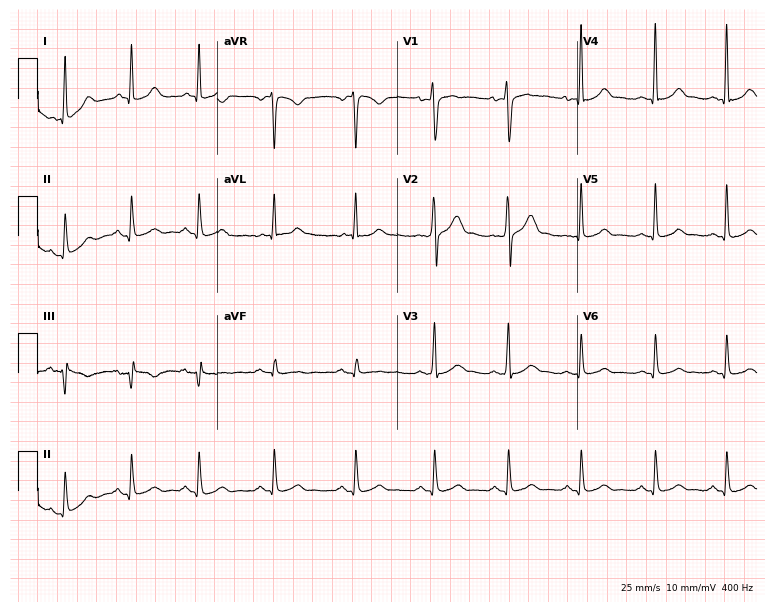
ECG — a male, 28 years old. Labelled as a normal ECG.